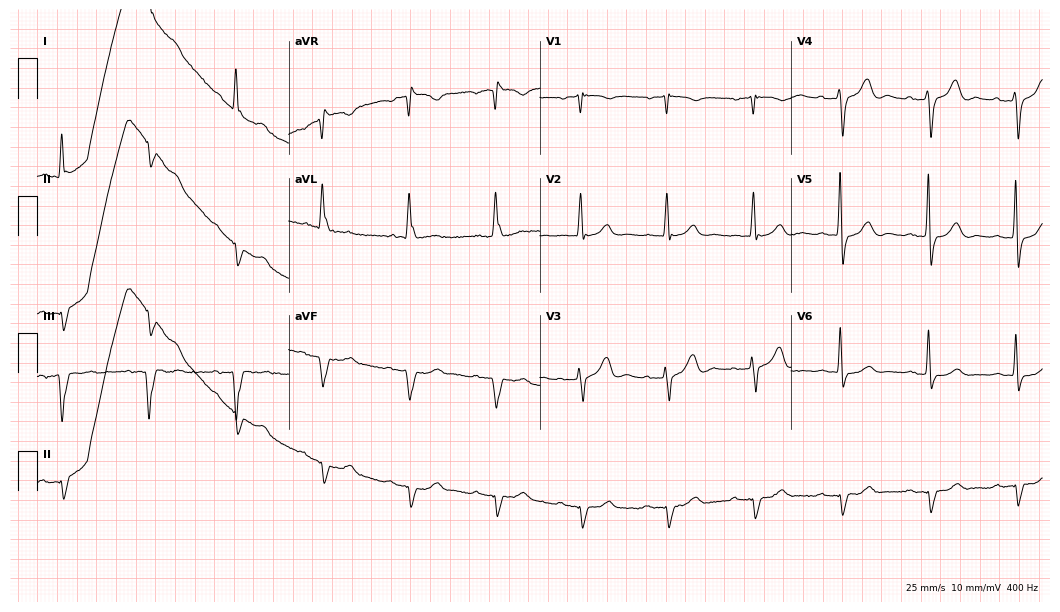
Electrocardiogram (10.2-second recording at 400 Hz), an 81-year-old man. Of the six screened findings (first-degree AV block, right bundle branch block (RBBB), left bundle branch block (LBBB), sinus bradycardia, atrial fibrillation (AF), sinus tachycardia), none is recorded. Only these six findings were labelled.